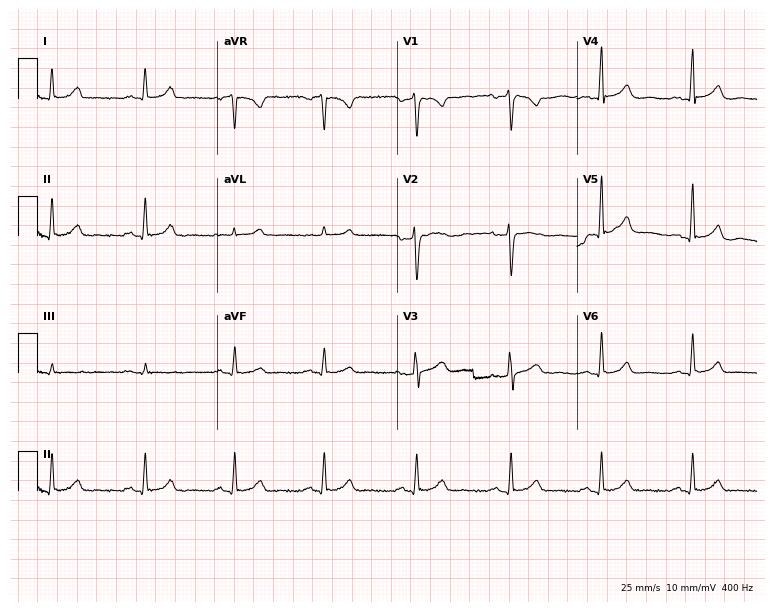
12-lead ECG from a female, 52 years old (7.3-second recording at 400 Hz). Recorded interpretation: within normal limits.